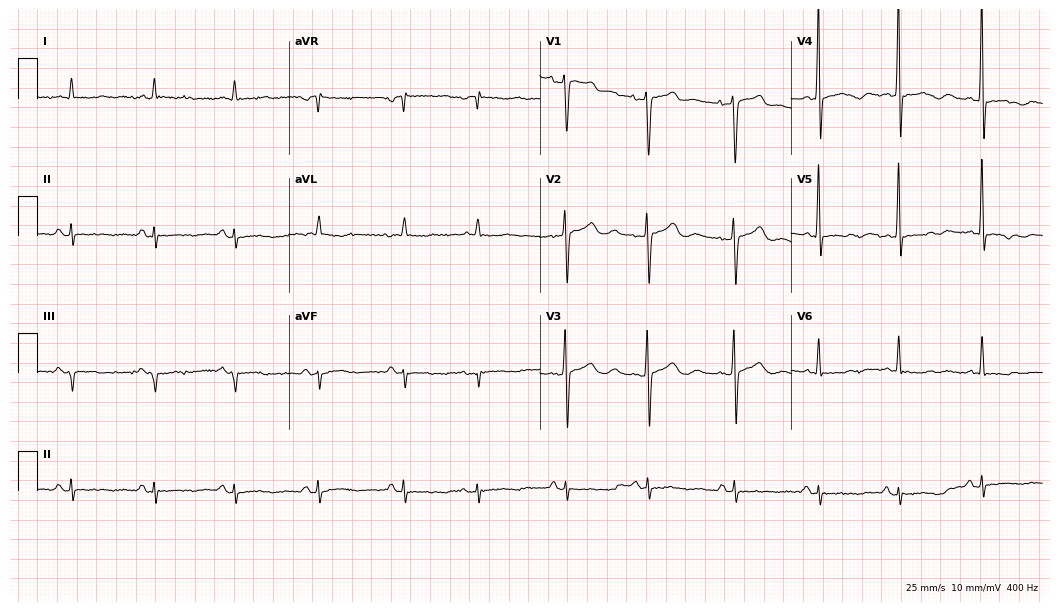
ECG — a 73-year-old man. Screened for six findings — first-degree AV block, right bundle branch block, left bundle branch block, sinus bradycardia, atrial fibrillation, sinus tachycardia — none is recorded.